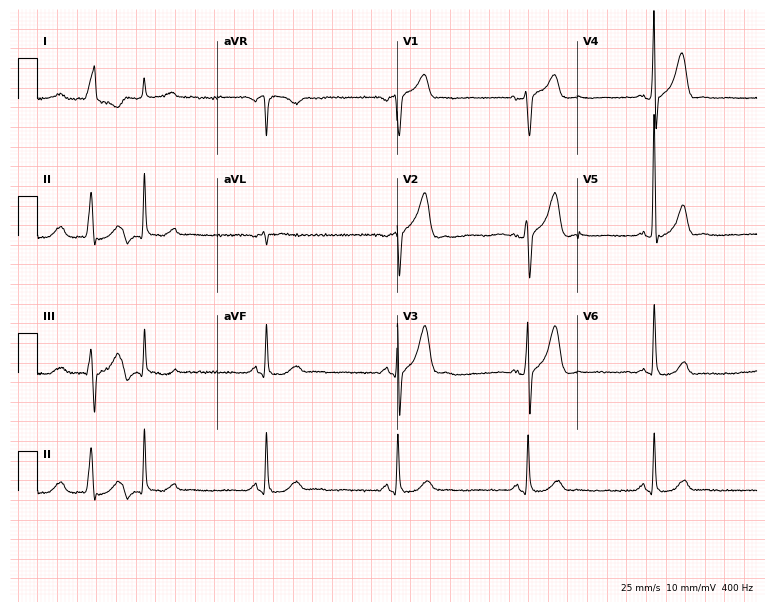
Electrocardiogram (7.3-second recording at 400 Hz), a male, 72 years old. Of the six screened findings (first-degree AV block, right bundle branch block (RBBB), left bundle branch block (LBBB), sinus bradycardia, atrial fibrillation (AF), sinus tachycardia), none is recorded.